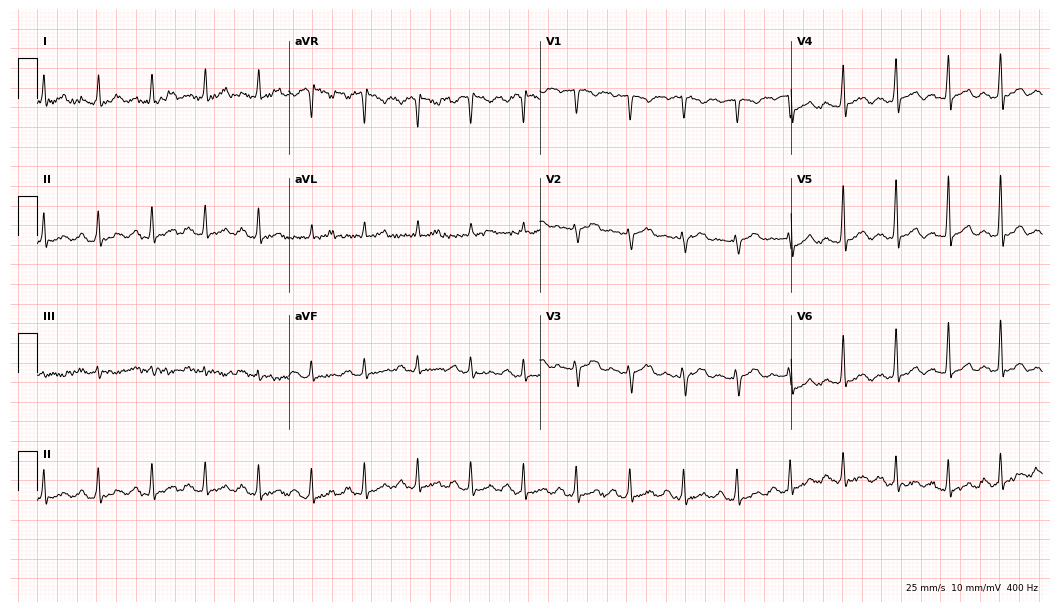
ECG (10.2-second recording at 400 Hz) — a 36-year-old female patient. Screened for six findings — first-degree AV block, right bundle branch block (RBBB), left bundle branch block (LBBB), sinus bradycardia, atrial fibrillation (AF), sinus tachycardia — none is recorded.